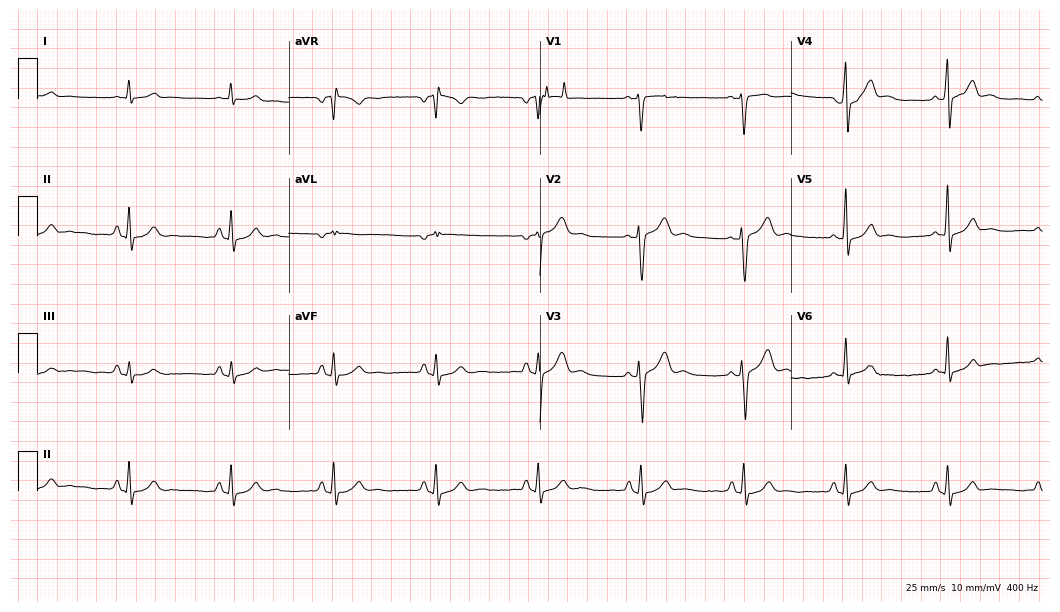
12-lead ECG from a man, 31 years old (10.2-second recording at 400 Hz). No first-degree AV block, right bundle branch block, left bundle branch block, sinus bradycardia, atrial fibrillation or sinus tachycardia recorded for this tracing. Findings outside these six are not listed.